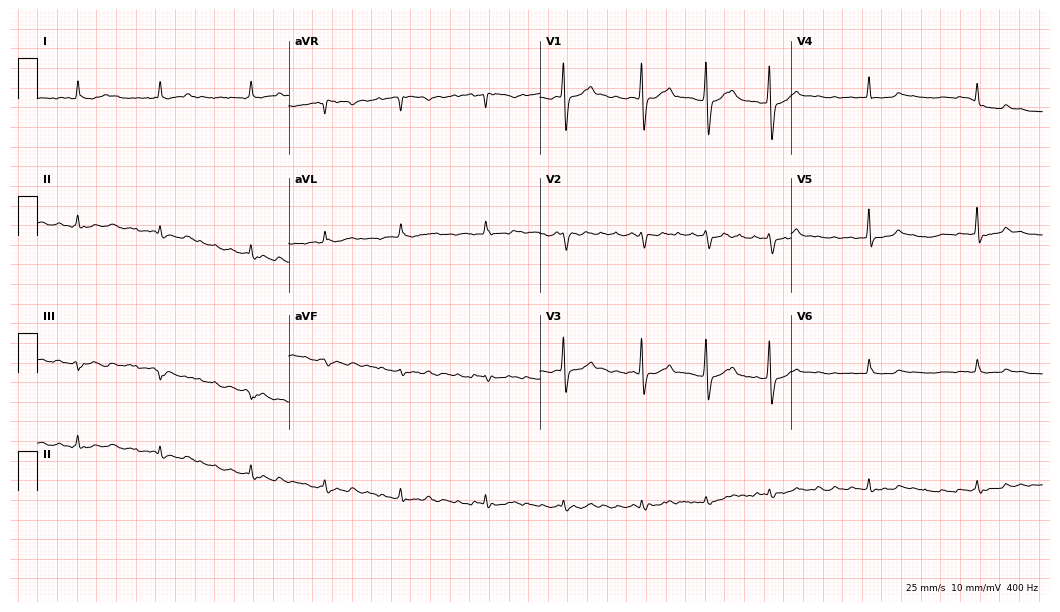
12-lead ECG from a man, 66 years old. Findings include atrial fibrillation (AF).